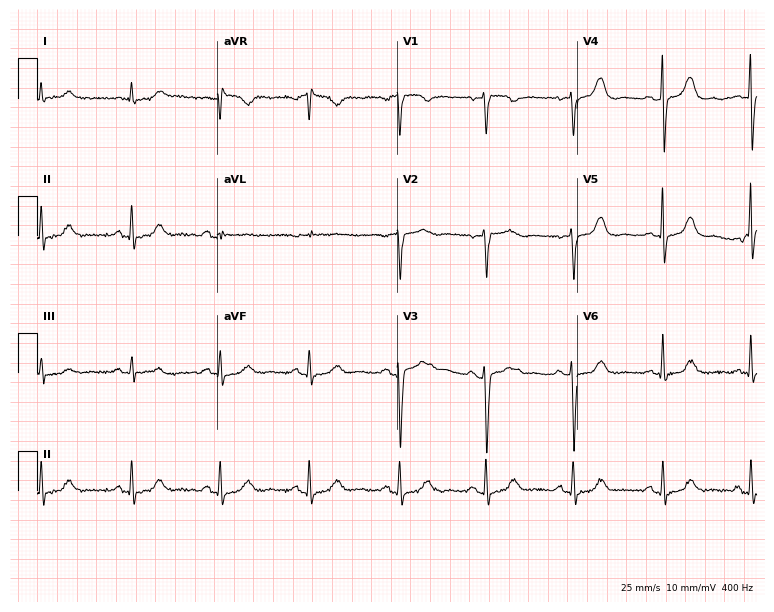
12-lead ECG from a female patient, 64 years old. No first-degree AV block, right bundle branch block, left bundle branch block, sinus bradycardia, atrial fibrillation or sinus tachycardia recorded for this tracing. Other findings, if any, are not listed.